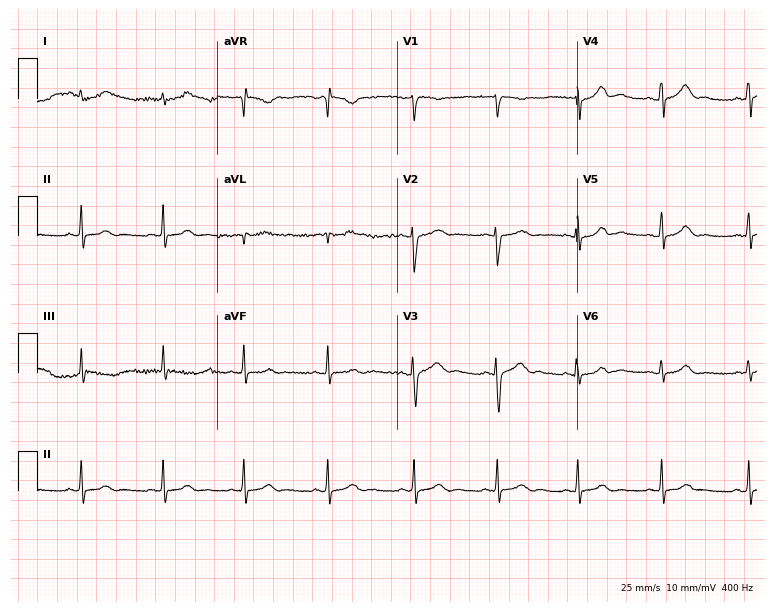
12-lead ECG from a woman, 26 years old. Recorded interpretation: within normal limits.